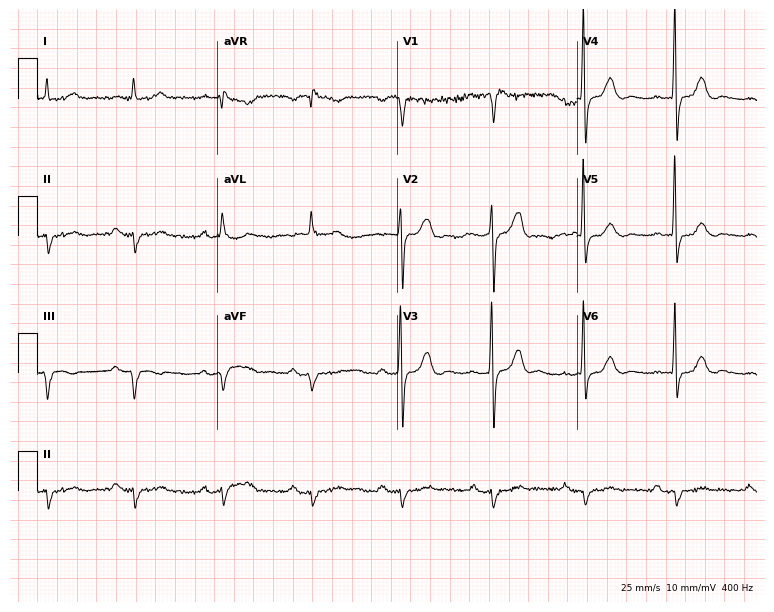
12-lead ECG (7.3-second recording at 400 Hz) from a 77-year-old male patient. Screened for six findings — first-degree AV block, right bundle branch block (RBBB), left bundle branch block (LBBB), sinus bradycardia, atrial fibrillation (AF), sinus tachycardia — none is recorded.